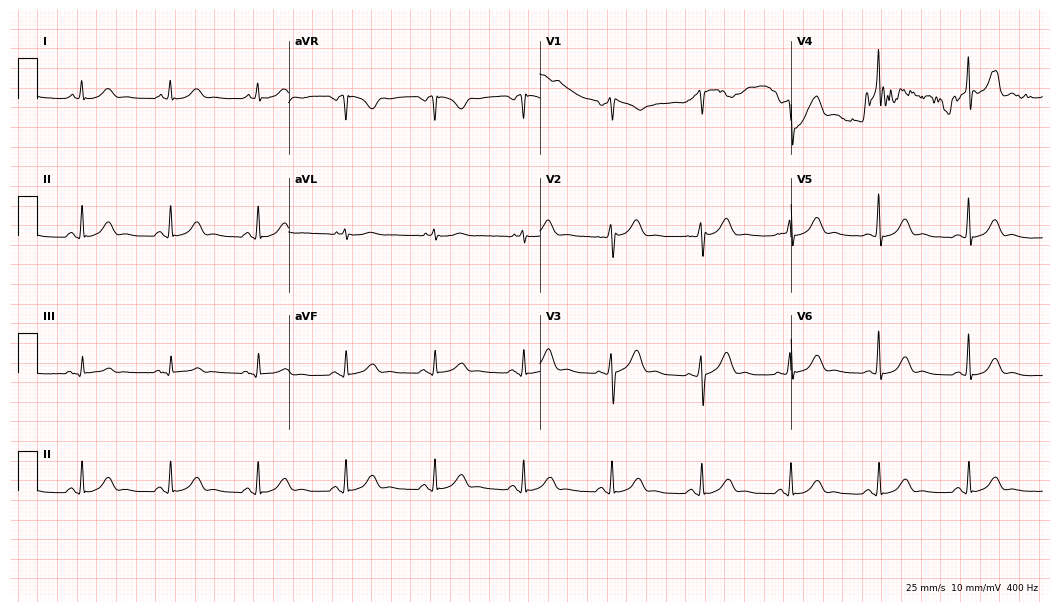
Electrocardiogram (10.2-second recording at 400 Hz), a 72-year-old male. Overall reading on record: normal ECG.